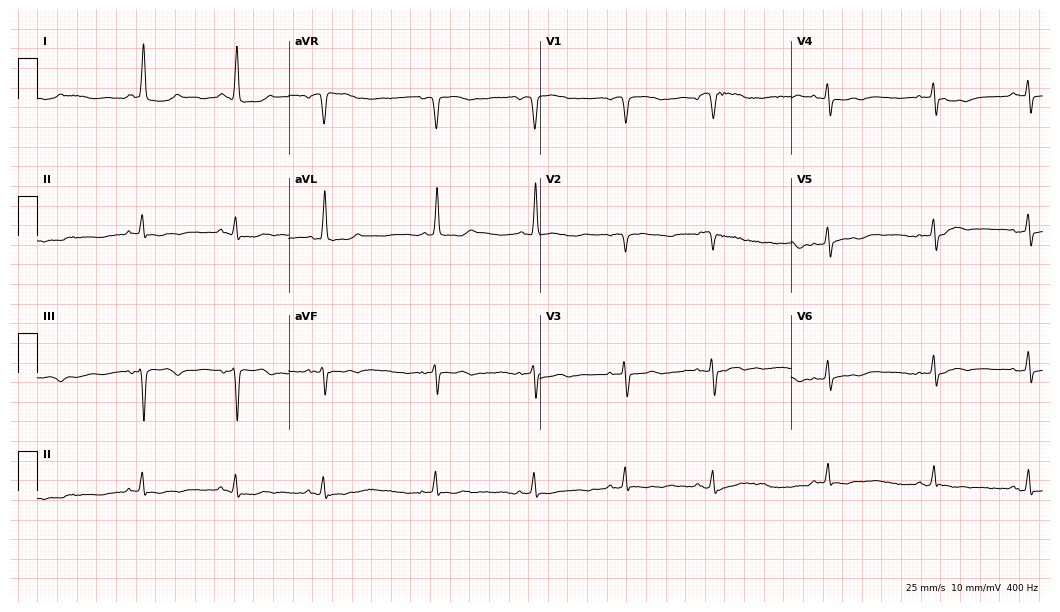
Standard 12-lead ECG recorded from a 73-year-old female patient. None of these six findings is recorded: first-degree AV block, right bundle branch block, left bundle branch block, sinus bradycardia, atrial fibrillation, sinus tachycardia.